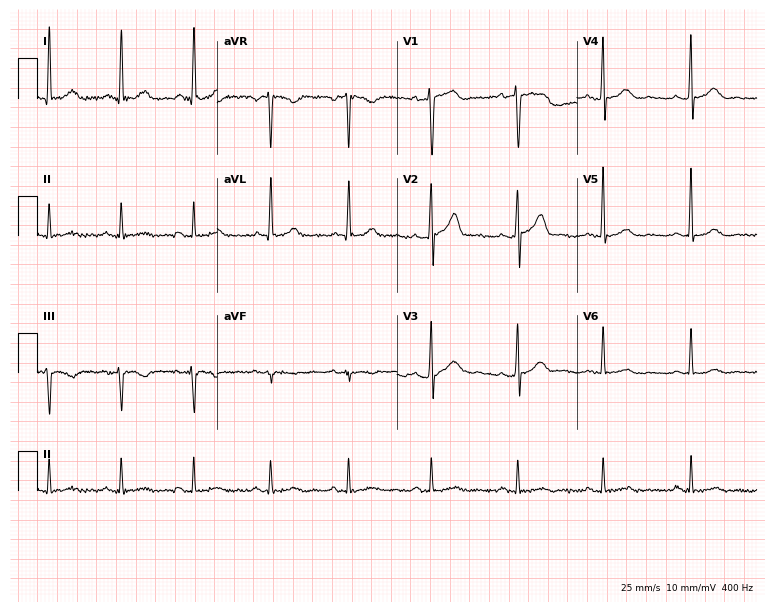
12-lead ECG (7.3-second recording at 400 Hz) from a 47-year-old man. Labelled as a normal ECG.